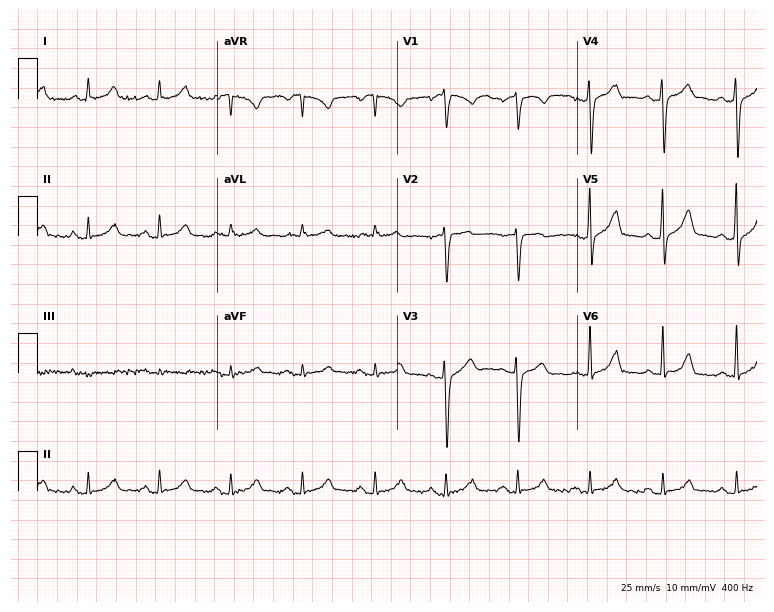
Electrocardiogram (7.3-second recording at 400 Hz), a man, 71 years old. Overall reading on record: normal ECG.